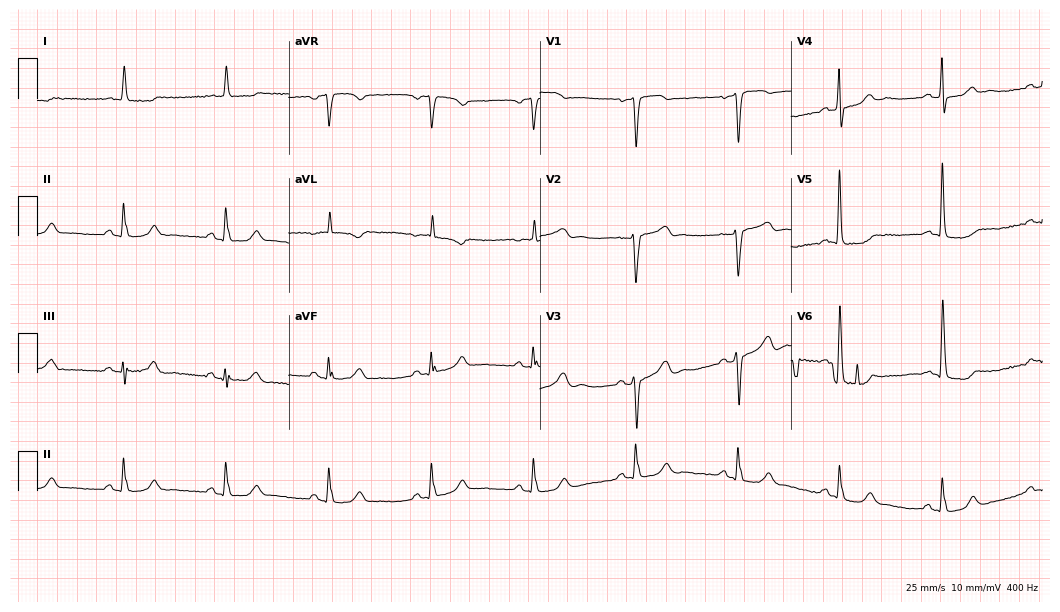
Standard 12-lead ECG recorded from a male patient, 30 years old. None of these six findings is recorded: first-degree AV block, right bundle branch block, left bundle branch block, sinus bradycardia, atrial fibrillation, sinus tachycardia. Other findings, if any, are not listed.